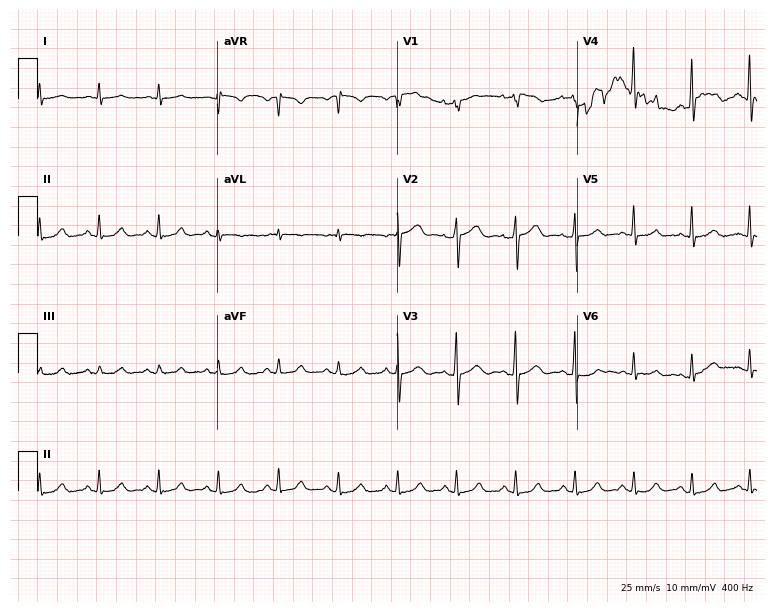
Resting 12-lead electrocardiogram. Patient: a 66-year-old male. Read as a normal ECG.